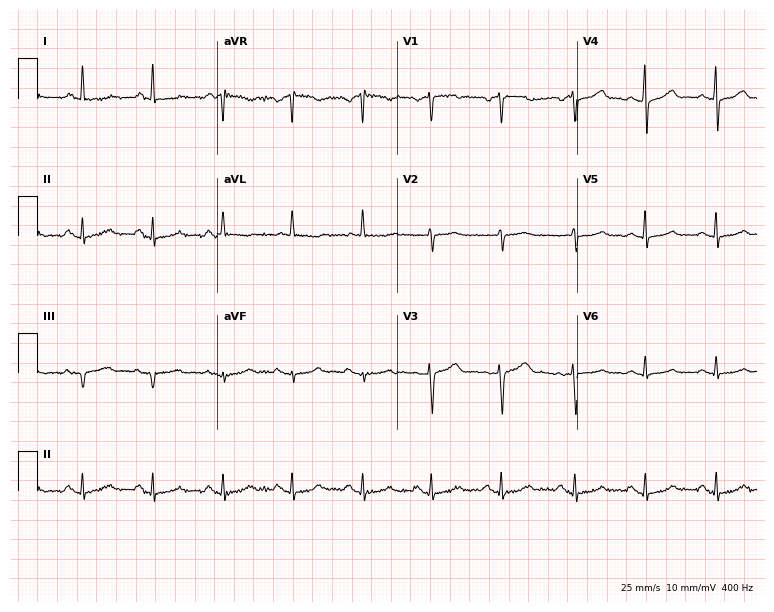
12-lead ECG from a 70-year-old female patient. Recorded interpretation: within normal limits.